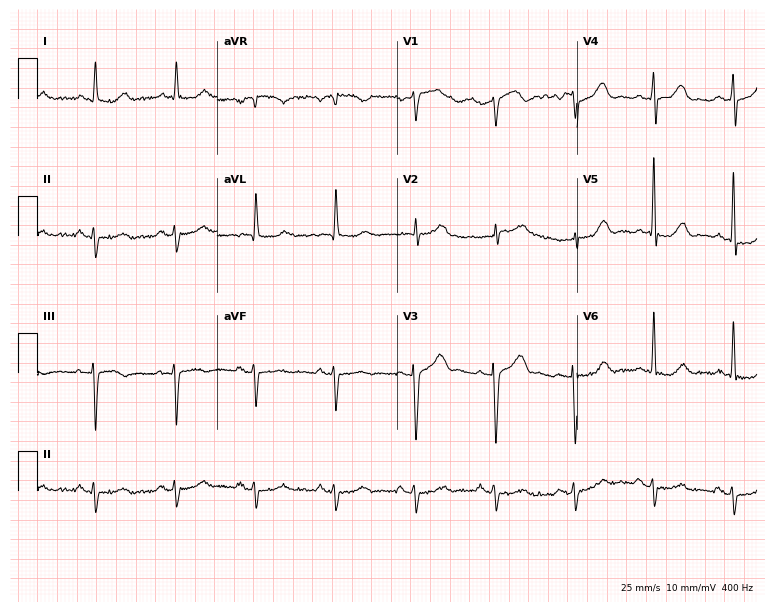
Electrocardiogram, a 69-year-old male patient. Of the six screened findings (first-degree AV block, right bundle branch block, left bundle branch block, sinus bradycardia, atrial fibrillation, sinus tachycardia), none is recorded.